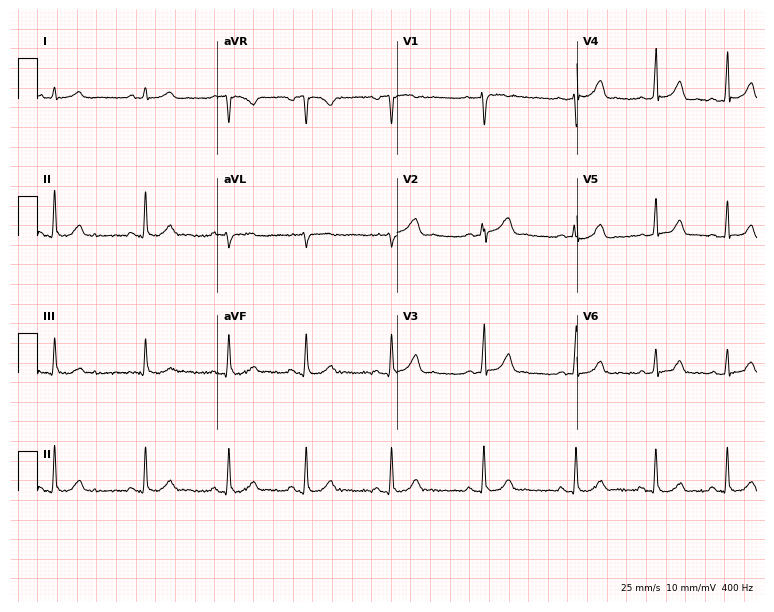
ECG — a 23-year-old female patient. Labelled as a normal ECG.